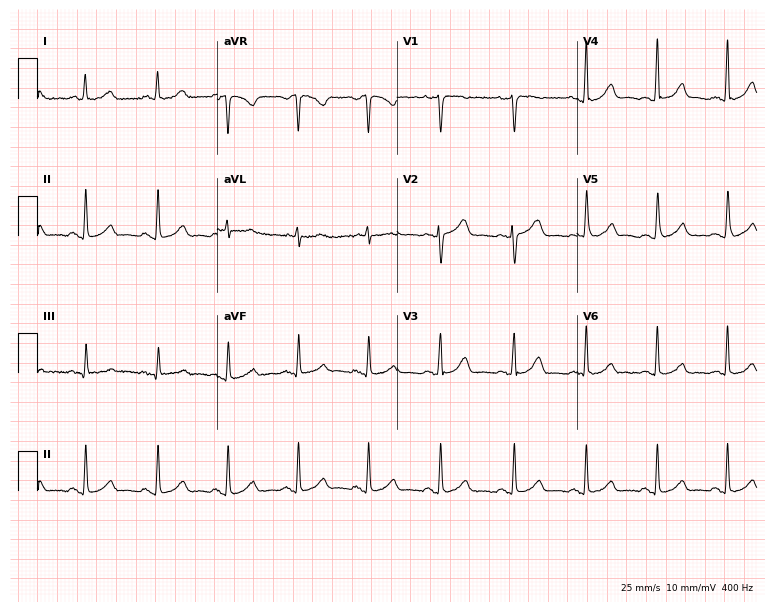
Standard 12-lead ECG recorded from a 42-year-old woman. Read as a normal ECG.